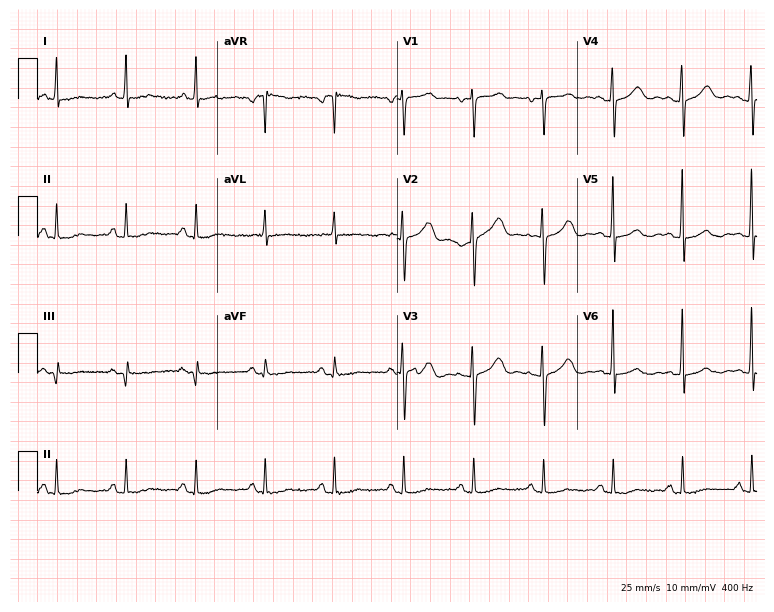
12-lead ECG from a 60-year-old female patient. Screened for six findings — first-degree AV block, right bundle branch block, left bundle branch block, sinus bradycardia, atrial fibrillation, sinus tachycardia — none is recorded.